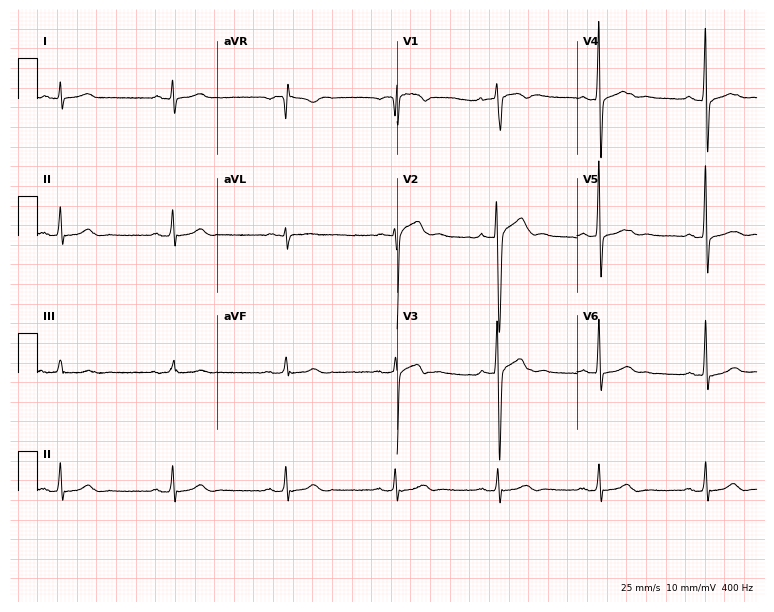
Resting 12-lead electrocardiogram (7.3-second recording at 400 Hz). Patient: a 43-year-old male. None of these six findings is recorded: first-degree AV block, right bundle branch block (RBBB), left bundle branch block (LBBB), sinus bradycardia, atrial fibrillation (AF), sinus tachycardia. Other findings, if any, are not listed.